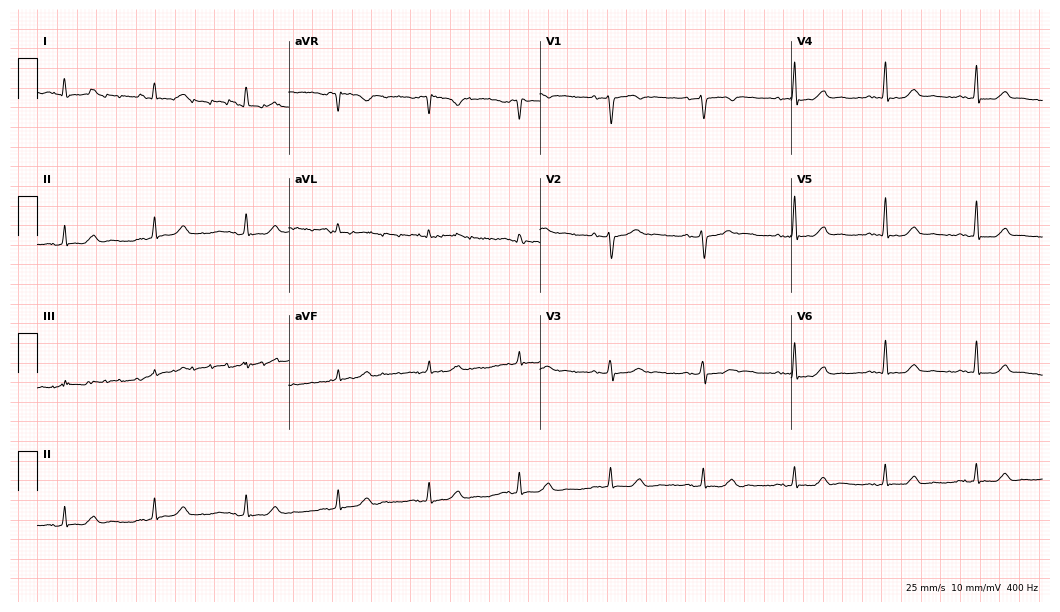
Resting 12-lead electrocardiogram (10.2-second recording at 400 Hz). Patient: a female, 58 years old. Read as a normal ECG.